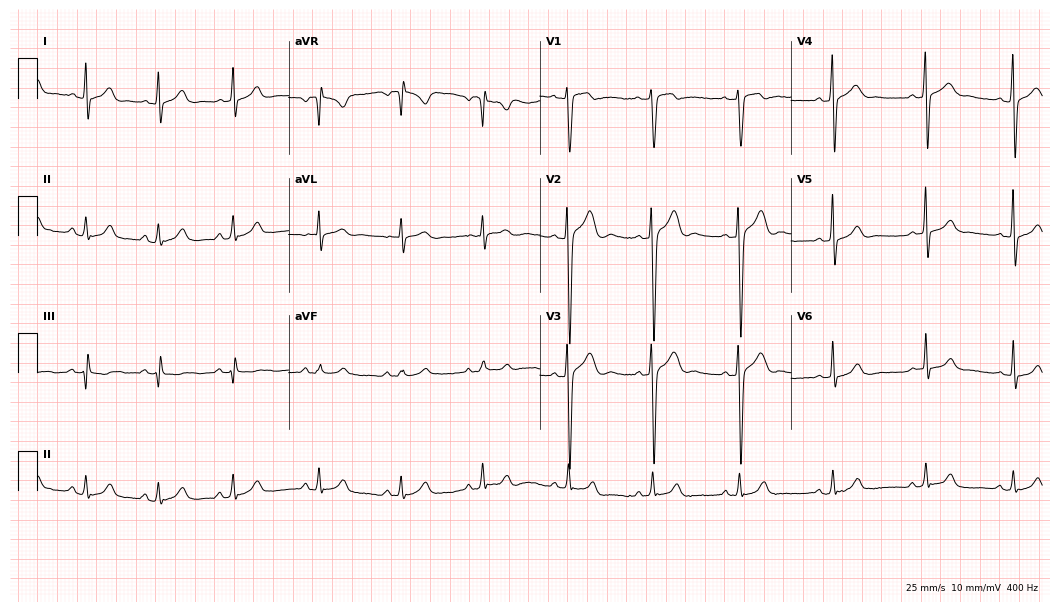
ECG — an 18-year-old male patient. Labelled as a normal ECG.